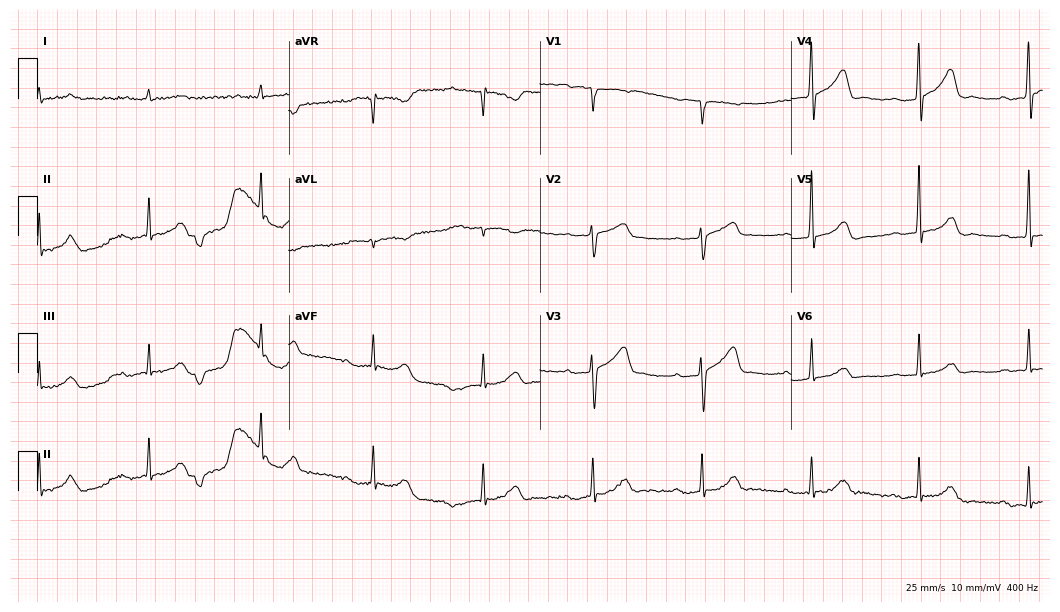
ECG — an 81-year-old man. Findings include first-degree AV block.